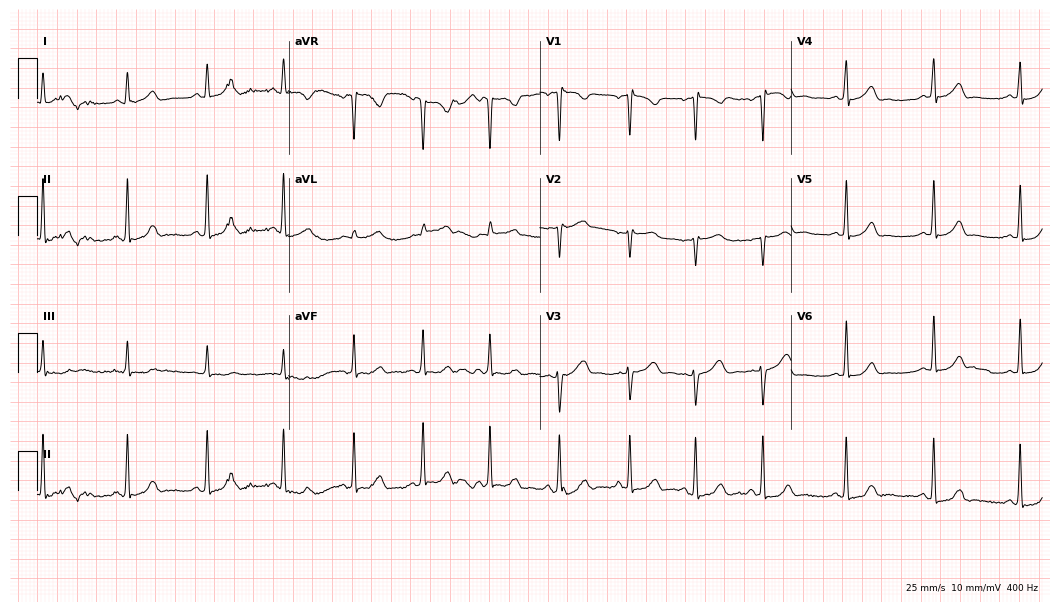
12-lead ECG from a woman, 19 years old (10.2-second recording at 400 Hz). No first-degree AV block, right bundle branch block, left bundle branch block, sinus bradycardia, atrial fibrillation or sinus tachycardia recorded for this tracing. Other findings, if any, are not listed.